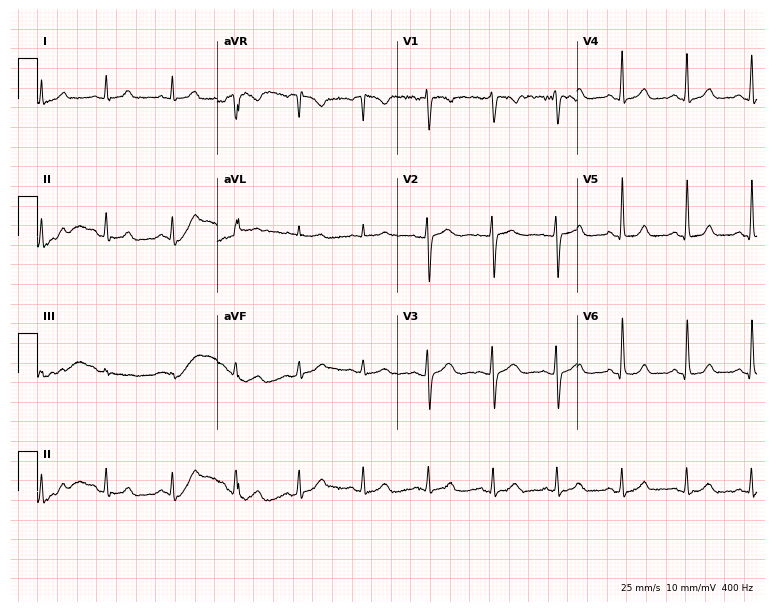
Resting 12-lead electrocardiogram (7.3-second recording at 400 Hz). Patient: a 38-year-old female. Read as a normal ECG.